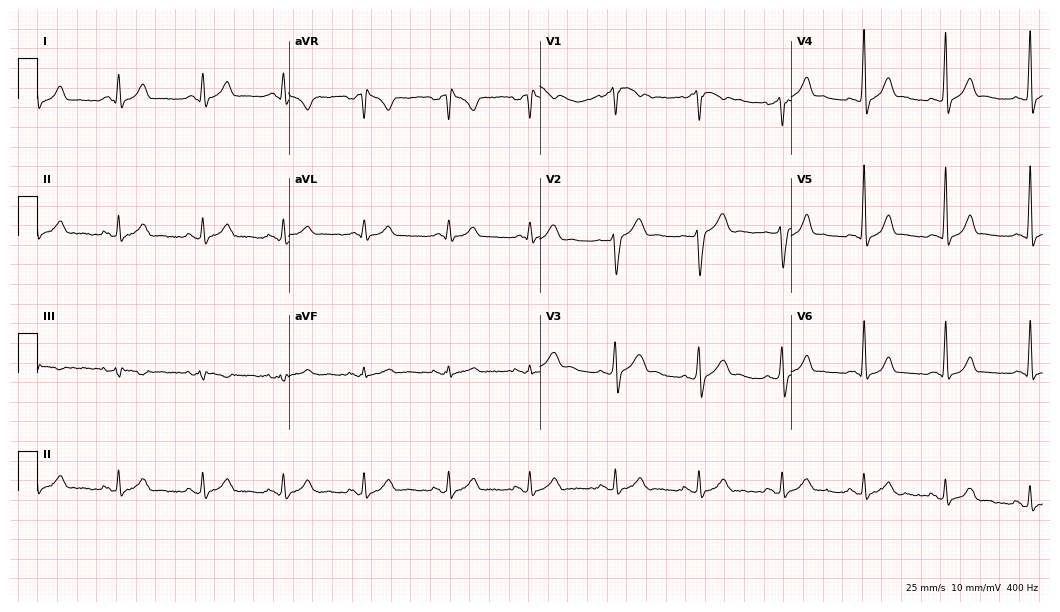
Electrocardiogram (10.2-second recording at 400 Hz), a male, 36 years old. Overall reading on record: normal ECG.